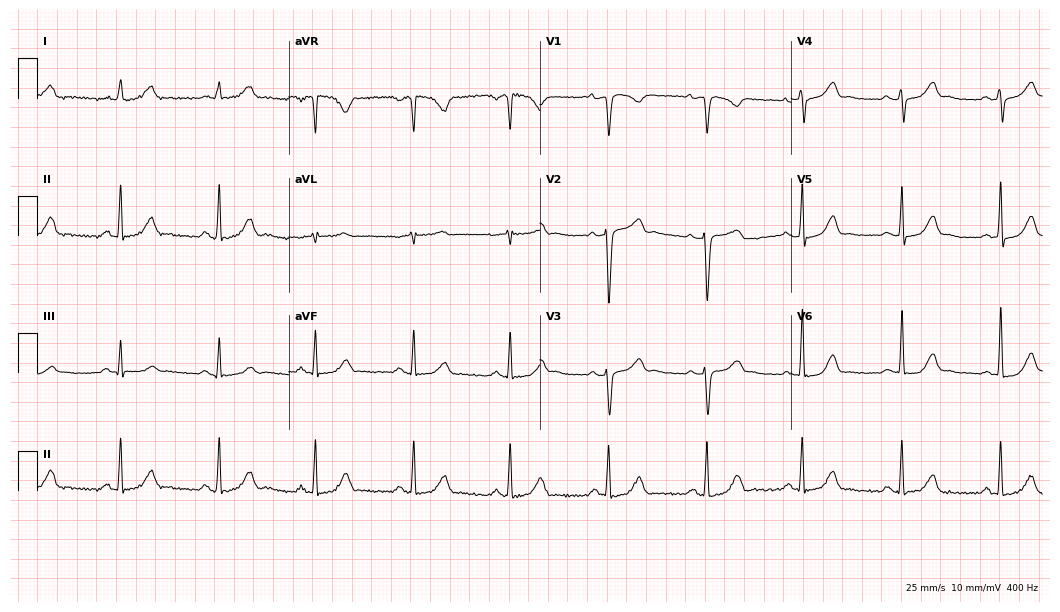
Electrocardiogram, a 51-year-old female. Overall reading on record: normal ECG.